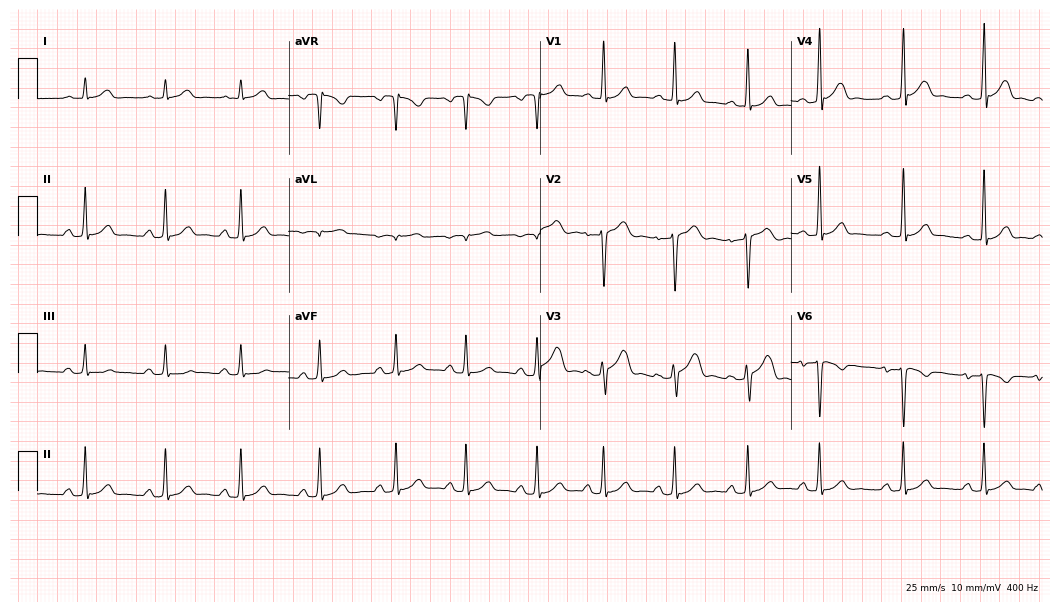
ECG (10.2-second recording at 400 Hz) — a man, 21 years old. Screened for six findings — first-degree AV block, right bundle branch block, left bundle branch block, sinus bradycardia, atrial fibrillation, sinus tachycardia — none is recorded. Only these six findings were labelled.